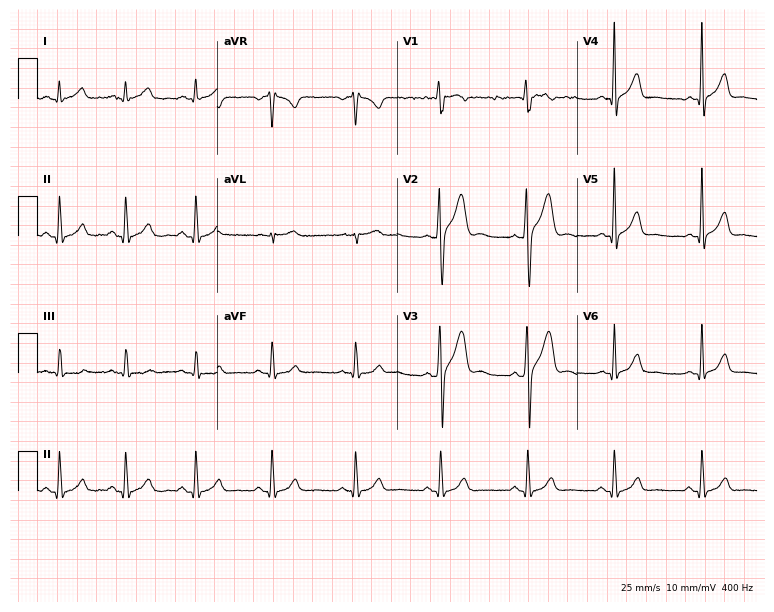
Electrocardiogram, a man, 30 years old. Overall reading on record: normal ECG.